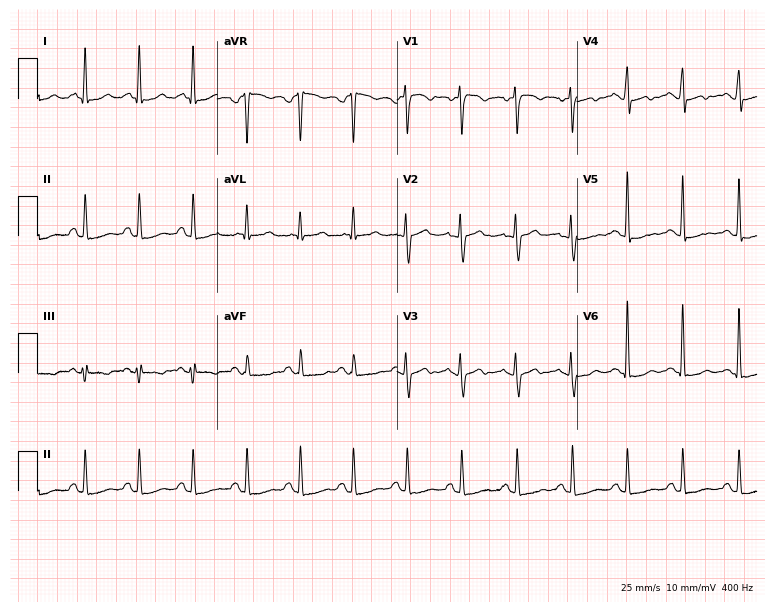
Standard 12-lead ECG recorded from a female, 52 years old. None of these six findings is recorded: first-degree AV block, right bundle branch block, left bundle branch block, sinus bradycardia, atrial fibrillation, sinus tachycardia. Findings outside these six are not listed.